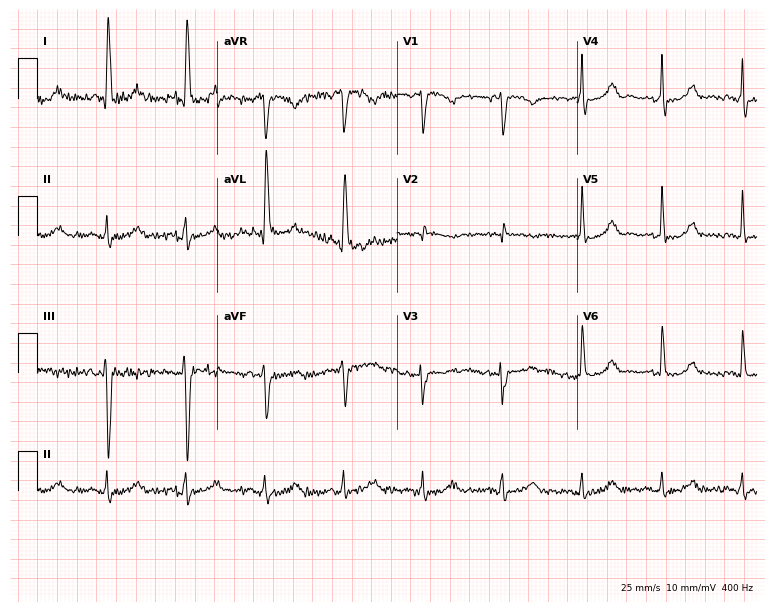
Resting 12-lead electrocardiogram. Patient: a 65-year-old female. Read as a normal ECG.